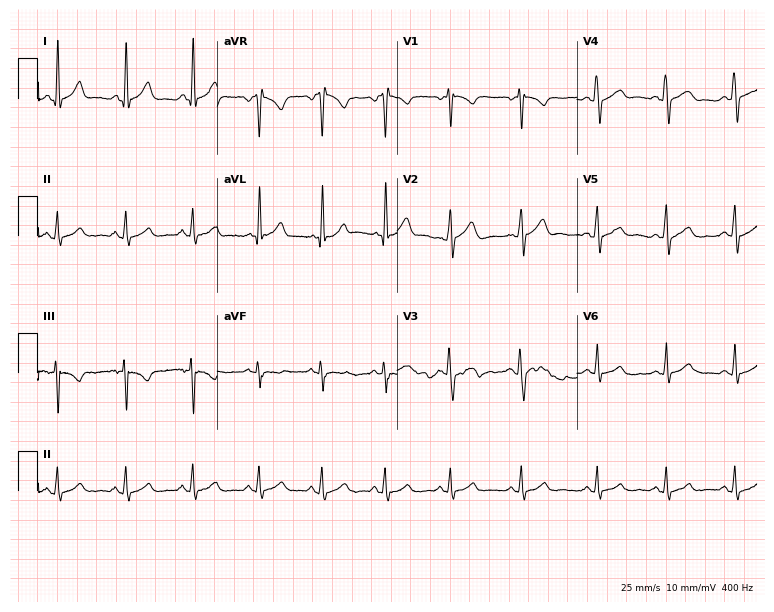
ECG (7.3-second recording at 400 Hz) — a 26-year-old man. Labelled as a normal ECG.